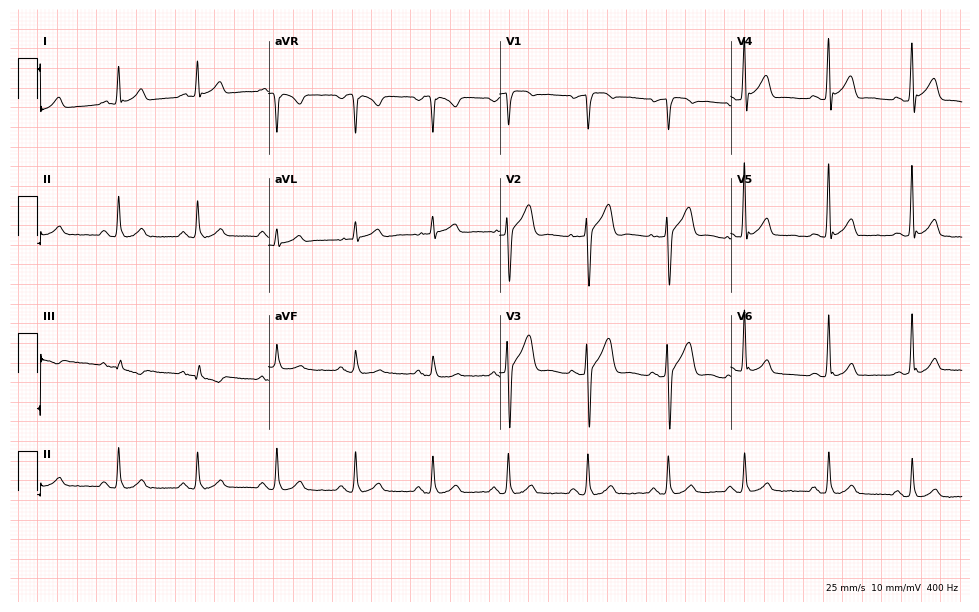
Standard 12-lead ECG recorded from a 45-year-old man (9.4-second recording at 400 Hz). Read as a normal ECG.